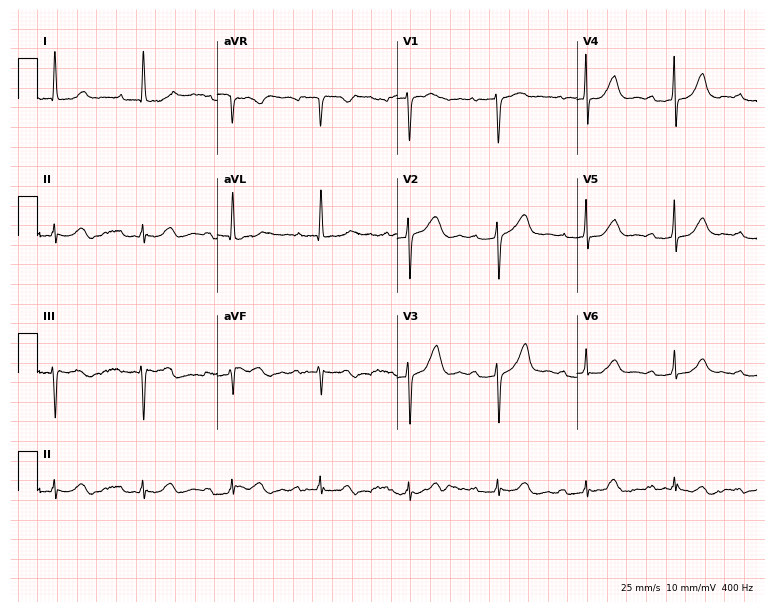
ECG — a female patient, 87 years old. Findings include first-degree AV block.